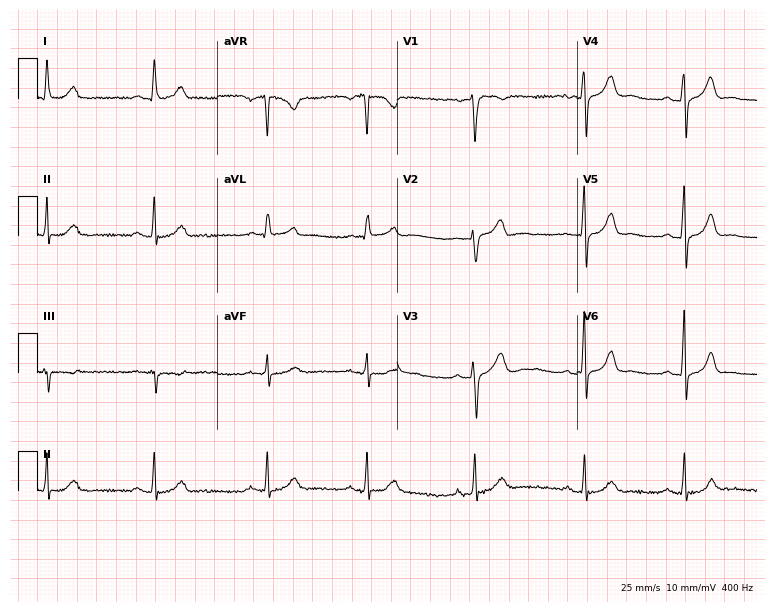
ECG (7.3-second recording at 400 Hz) — a 40-year-old female. Labelled as a normal ECG.